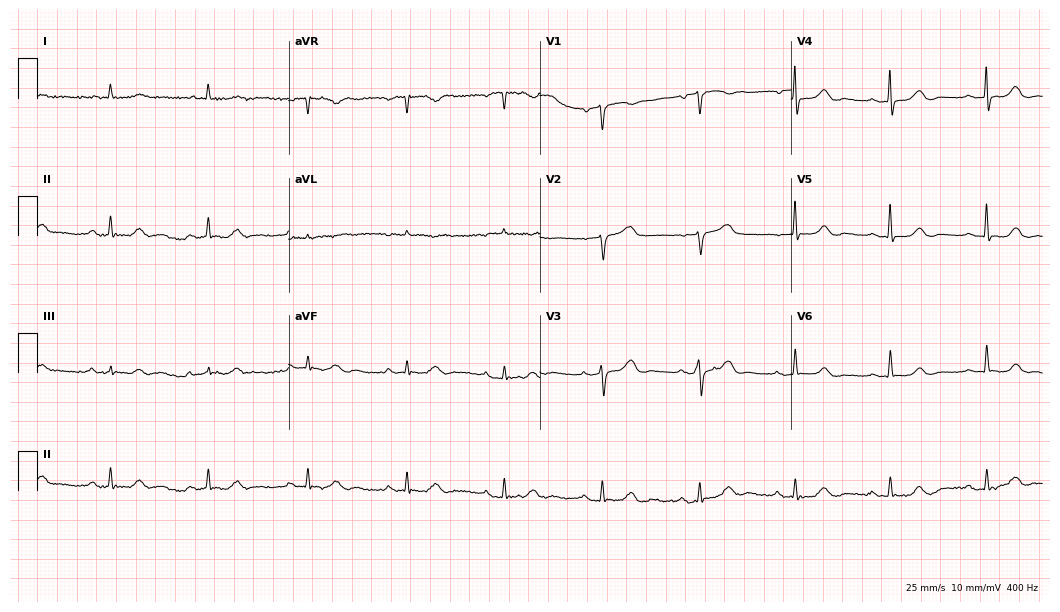
12-lead ECG (10.2-second recording at 400 Hz) from an 81-year-old woman. Labelled as a normal ECG.